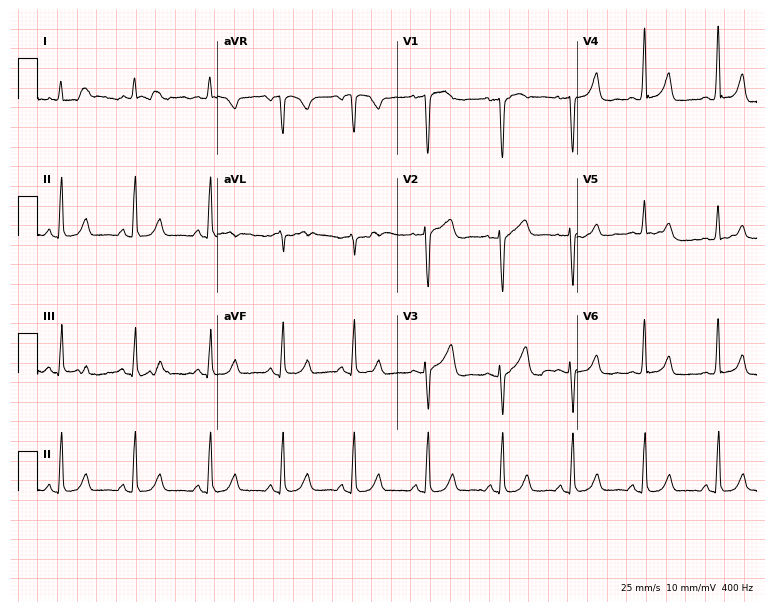
Electrocardiogram (7.3-second recording at 400 Hz), a 48-year-old female patient. Of the six screened findings (first-degree AV block, right bundle branch block, left bundle branch block, sinus bradycardia, atrial fibrillation, sinus tachycardia), none is recorded. Other findings, if any, are not listed.